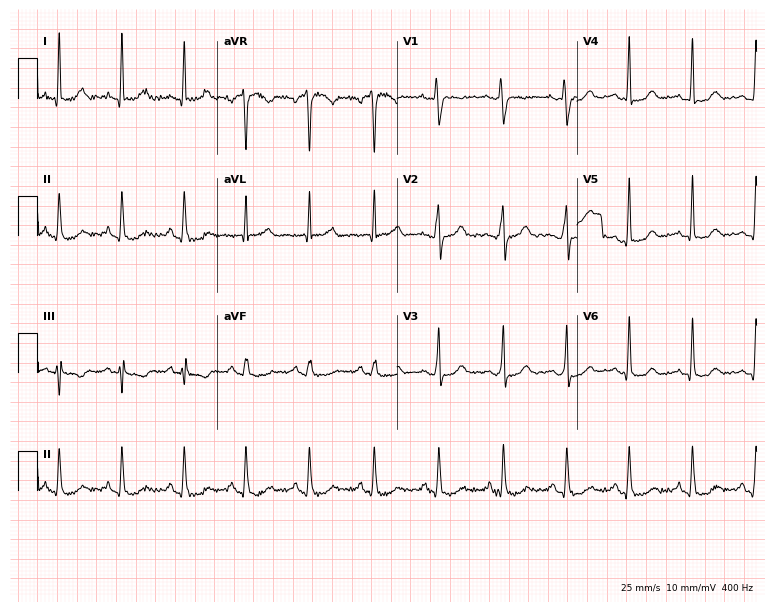
Standard 12-lead ECG recorded from a 43-year-old woman. None of these six findings is recorded: first-degree AV block, right bundle branch block, left bundle branch block, sinus bradycardia, atrial fibrillation, sinus tachycardia. Findings outside these six are not listed.